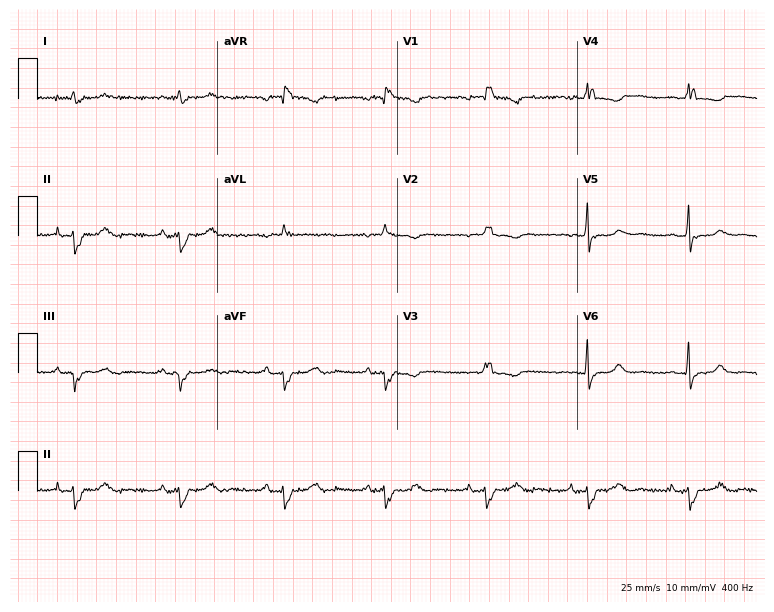
Standard 12-lead ECG recorded from a female patient, 62 years old. The tracing shows right bundle branch block.